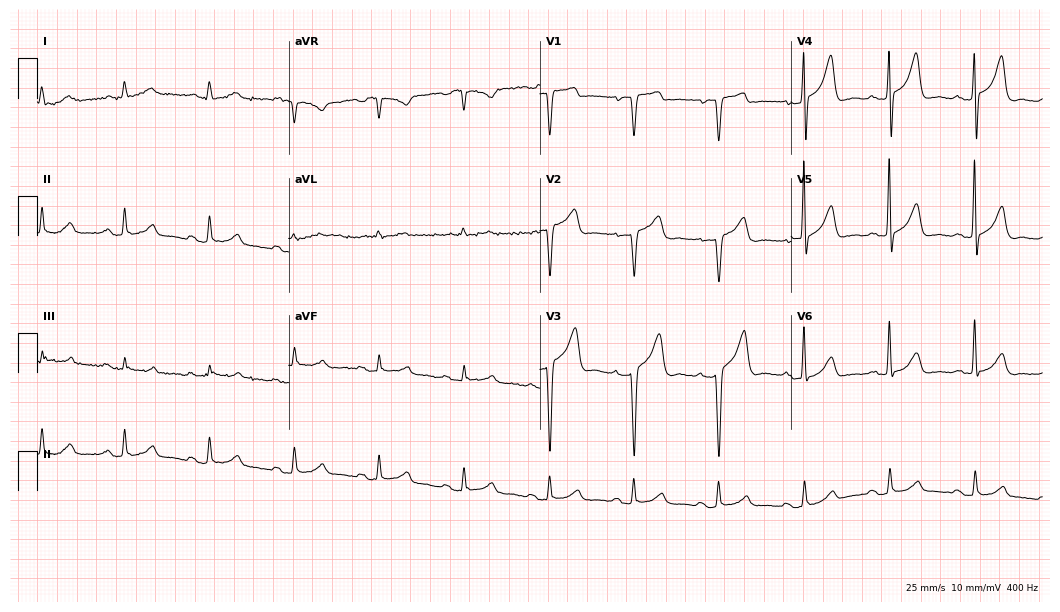
12-lead ECG from a female patient, 77 years old. Labelled as a normal ECG.